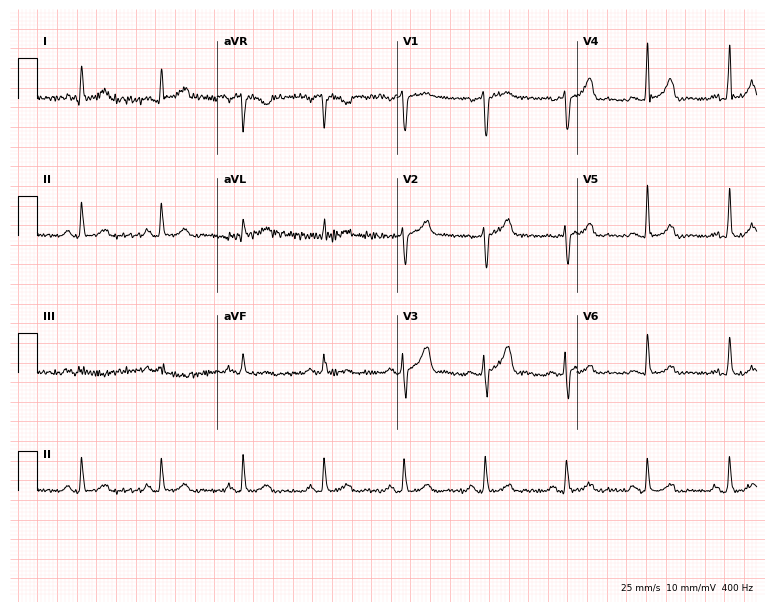
12-lead ECG from a male, 38 years old. Labelled as a normal ECG.